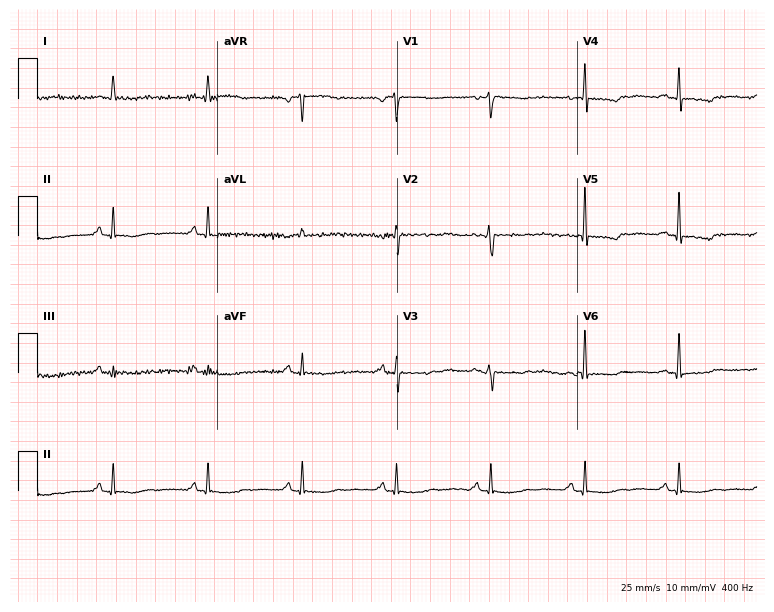
Standard 12-lead ECG recorded from a 75-year-old woman. Read as a normal ECG.